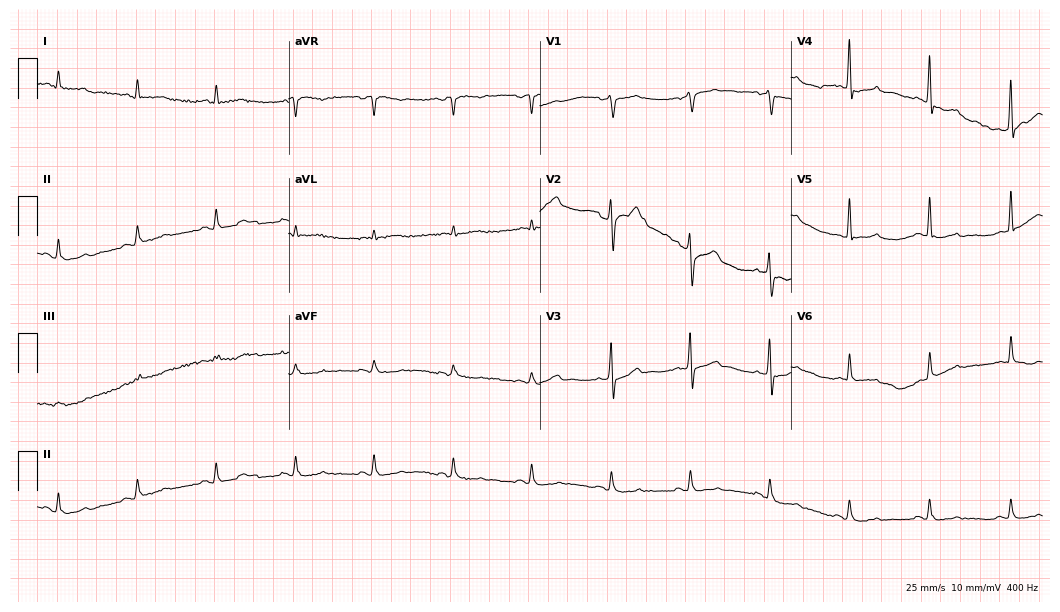
12-lead ECG (10.2-second recording at 400 Hz) from a 71-year-old male. Screened for six findings — first-degree AV block, right bundle branch block, left bundle branch block, sinus bradycardia, atrial fibrillation, sinus tachycardia — none is recorded. Only these six findings were labelled.